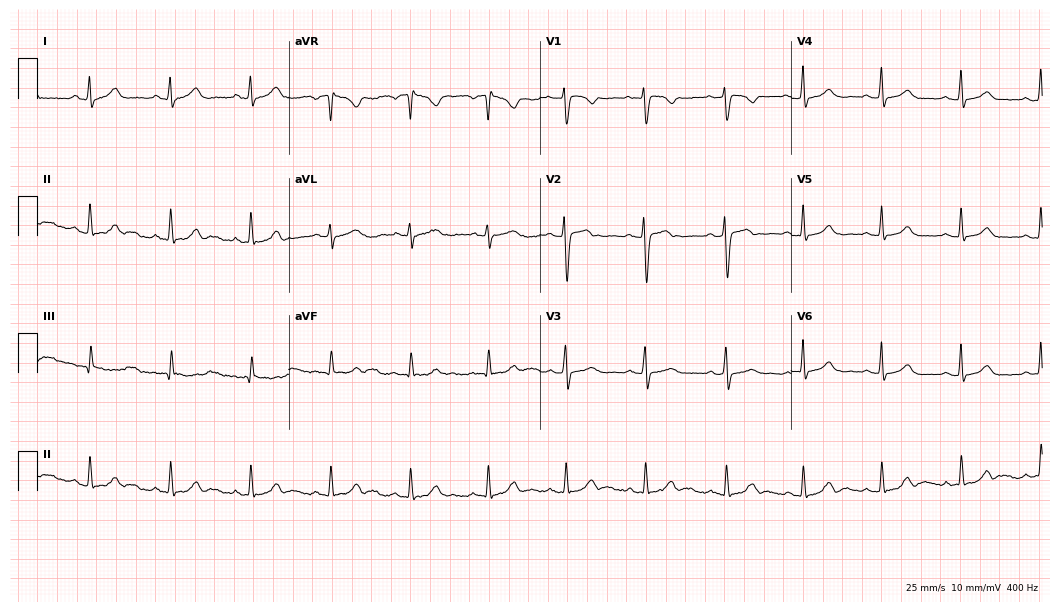
12-lead ECG (10.2-second recording at 400 Hz) from a 32-year-old female patient. Labelled as a normal ECG.